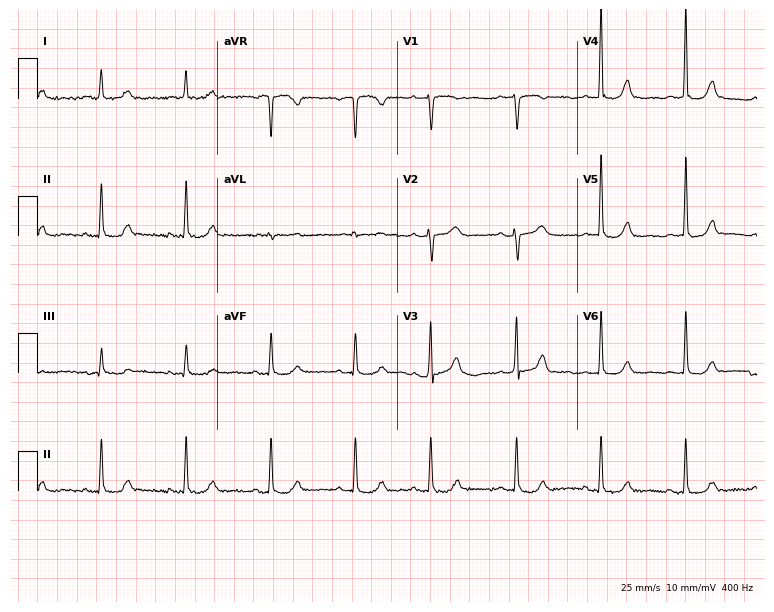
ECG — a 73-year-old female. Screened for six findings — first-degree AV block, right bundle branch block (RBBB), left bundle branch block (LBBB), sinus bradycardia, atrial fibrillation (AF), sinus tachycardia — none is recorded. Findings outside these six are not listed.